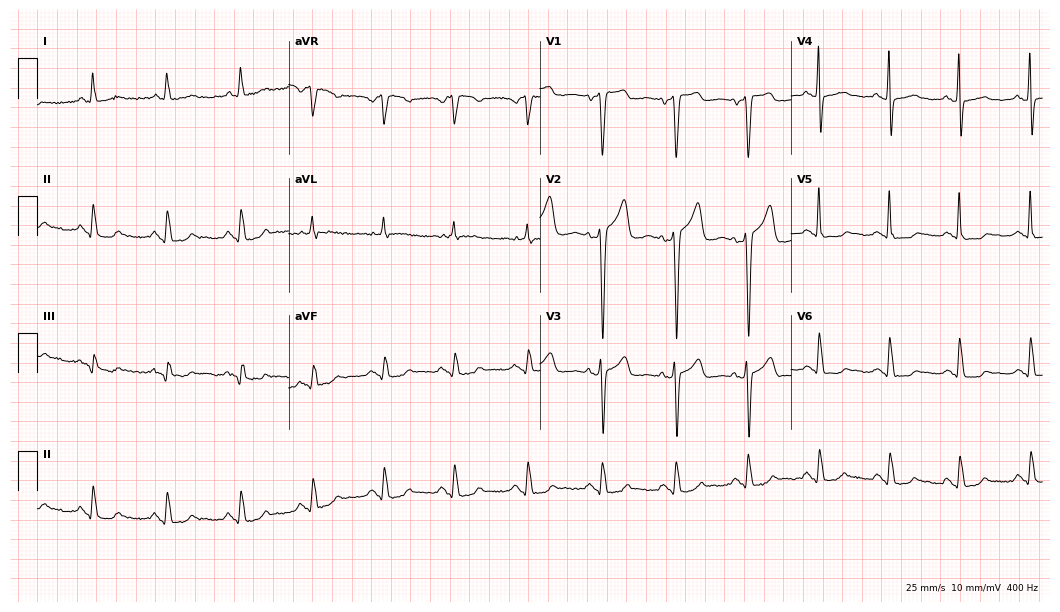
ECG (10.2-second recording at 400 Hz) — a male patient, 66 years old. Screened for six findings — first-degree AV block, right bundle branch block, left bundle branch block, sinus bradycardia, atrial fibrillation, sinus tachycardia — none is recorded. Only these six findings were labelled.